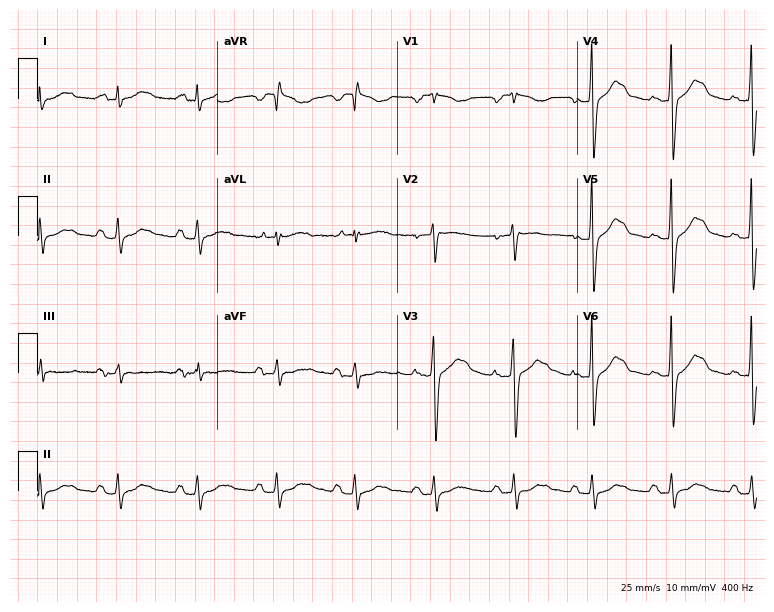
12-lead ECG from a 71-year-old male patient. Recorded interpretation: within normal limits.